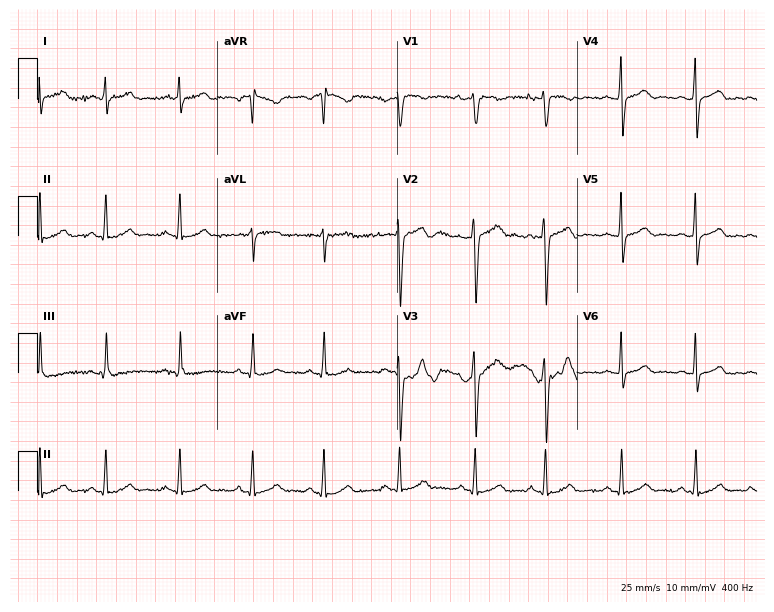
Standard 12-lead ECG recorded from a 30-year-old female patient (7.3-second recording at 400 Hz). Read as a normal ECG.